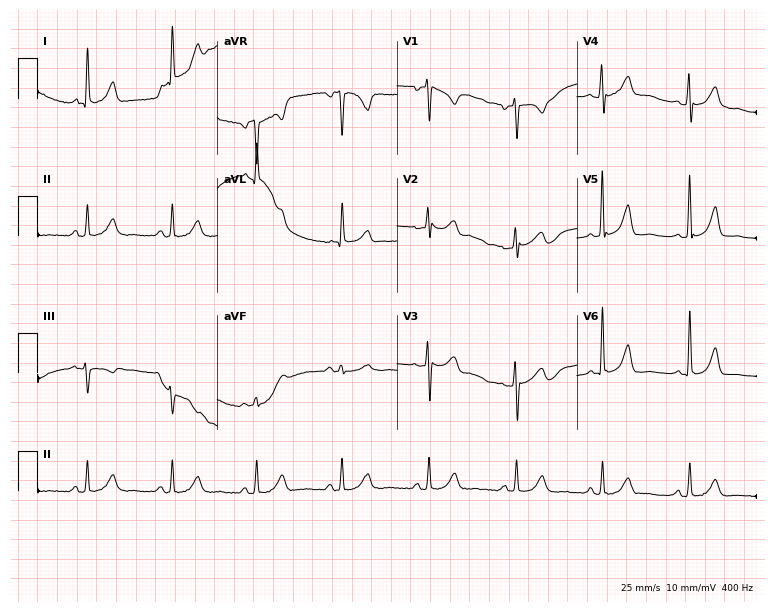
ECG — a 60-year-old male patient. Screened for six findings — first-degree AV block, right bundle branch block (RBBB), left bundle branch block (LBBB), sinus bradycardia, atrial fibrillation (AF), sinus tachycardia — none is recorded.